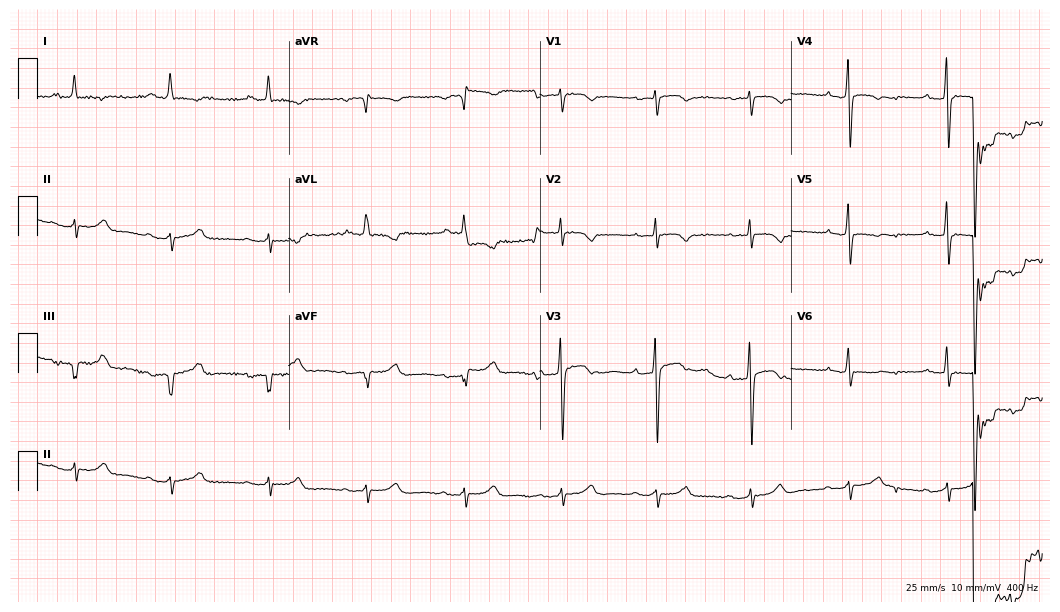
Resting 12-lead electrocardiogram. Patient: an 81-year-old female. The tracing shows first-degree AV block.